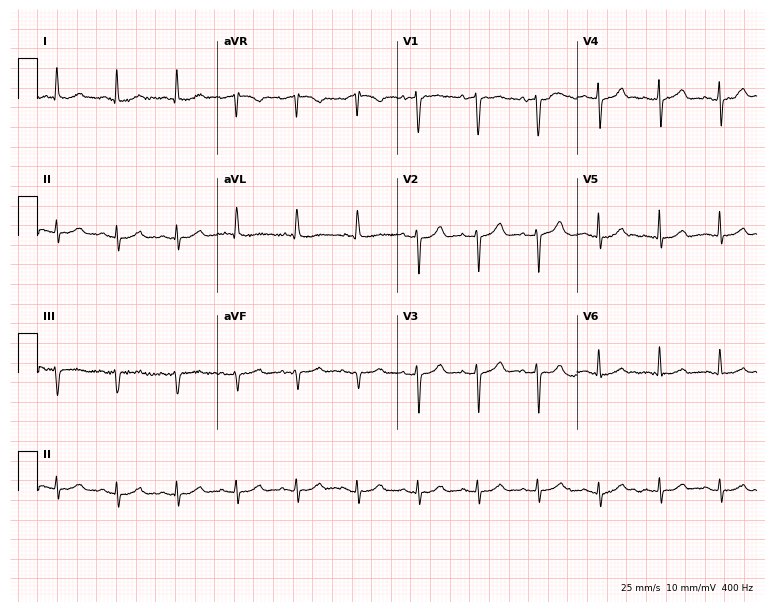
Standard 12-lead ECG recorded from a male, 69 years old. Read as a normal ECG.